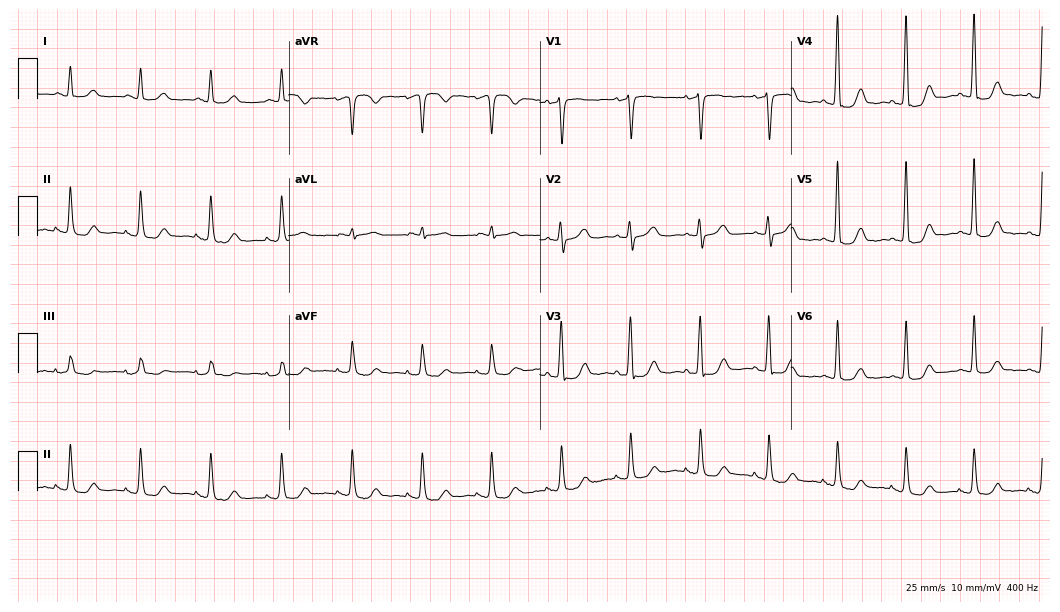
Standard 12-lead ECG recorded from a female patient, 70 years old (10.2-second recording at 400 Hz). Read as a normal ECG.